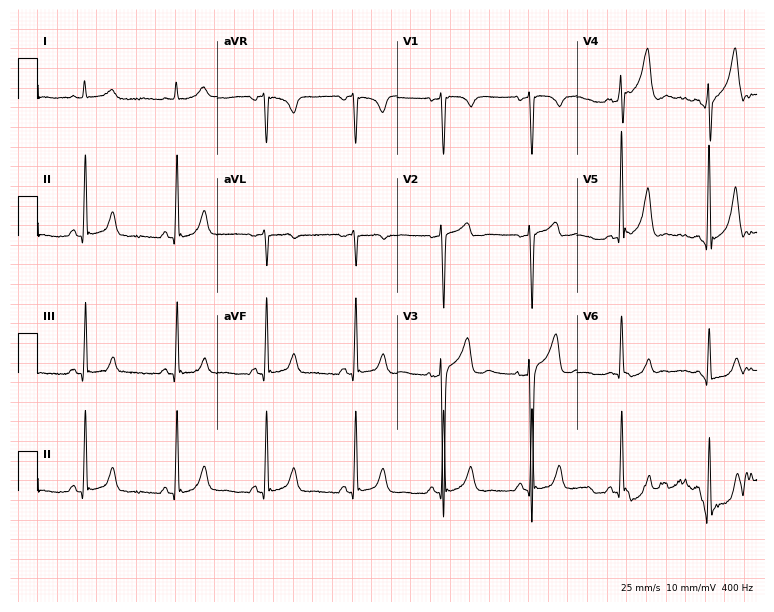
Standard 12-lead ECG recorded from a male, 34 years old. Read as a normal ECG.